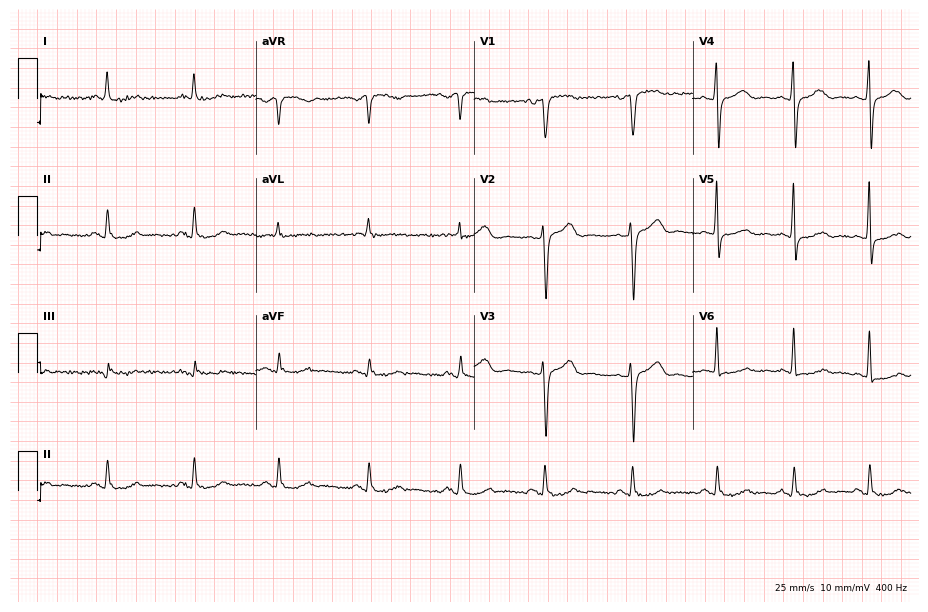
ECG (8.9-second recording at 400 Hz) — a male, 66 years old. Screened for six findings — first-degree AV block, right bundle branch block, left bundle branch block, sinus bradycardia, atrial fibrillation, sinus tachycardia — none is recorded. Findings outside these six are not listed.